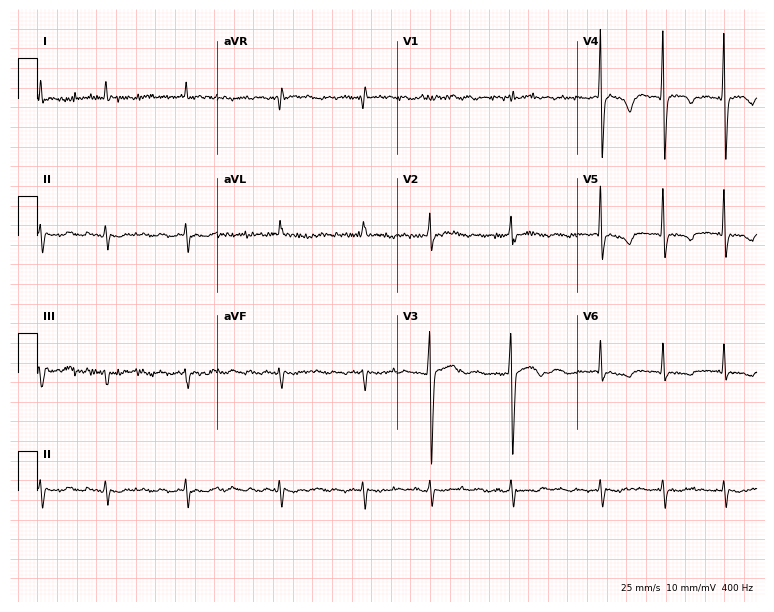
Standard 12-lead ECG recorded from an 83-year-old man. The tracing shows atrial fibrillation.